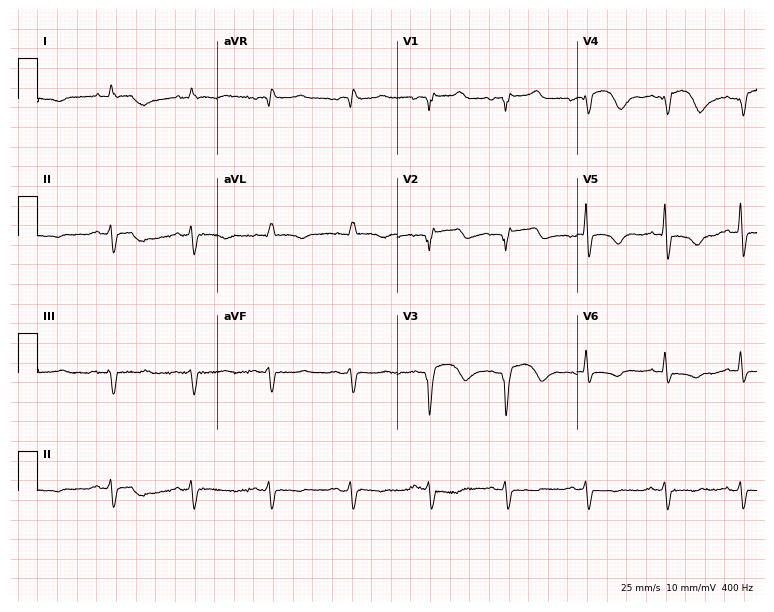
ECG (7.3-second recording at 400 Hz) — a male, 78 years old. Findings include right bundle branch block.